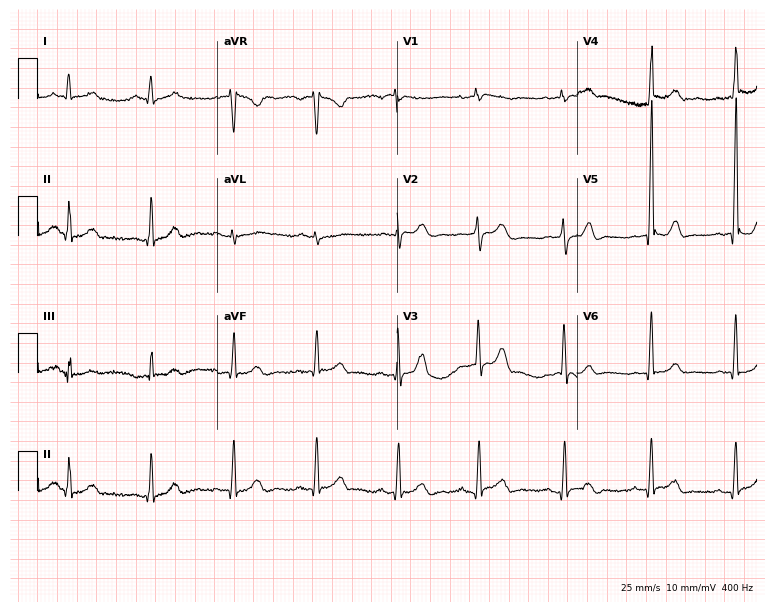
Standard 12-lead ECG recorded from a 28-year-old male. None of these six findings is recorded: first-degree AV block, right bundle branch block (RBBB), left bundle branch block (LBBB), sinus bradycardia, atrial fibrillation (AF), sinus tachycardia. Findings outside these six are not listed.